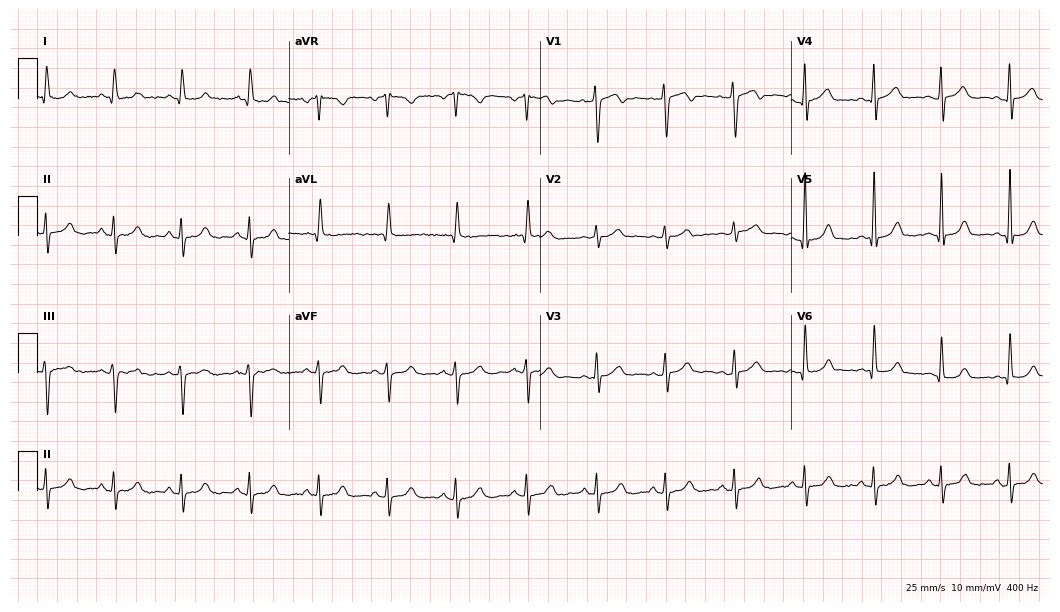
Standard 12-lead ECG recorded from a woman, 49 years old. Read as a normal ECG.